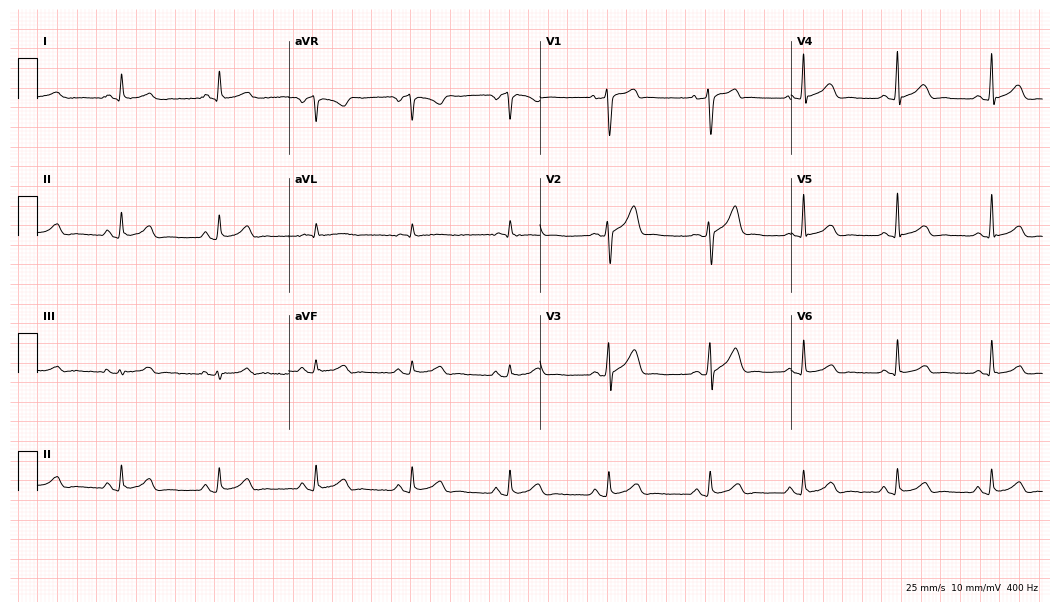
Resting 12-lead electrocardiogram (10.2-second recording at 400 Hz). Patient: a 33-year-old male. Read as a normal ECG.